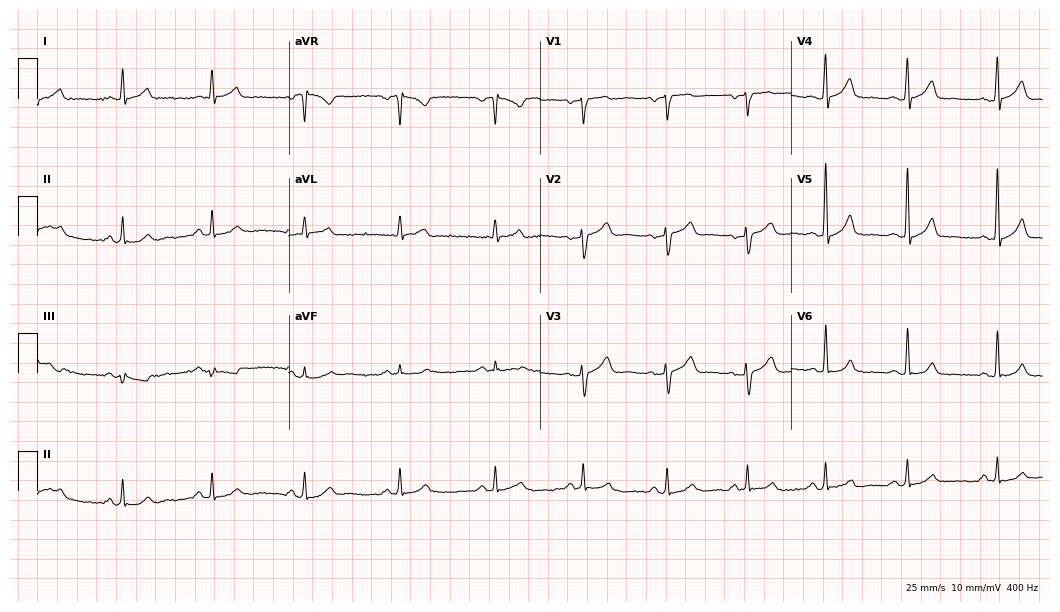
12-lead ECG from a 33-year-old male patient. Labelled as a normal ECG.